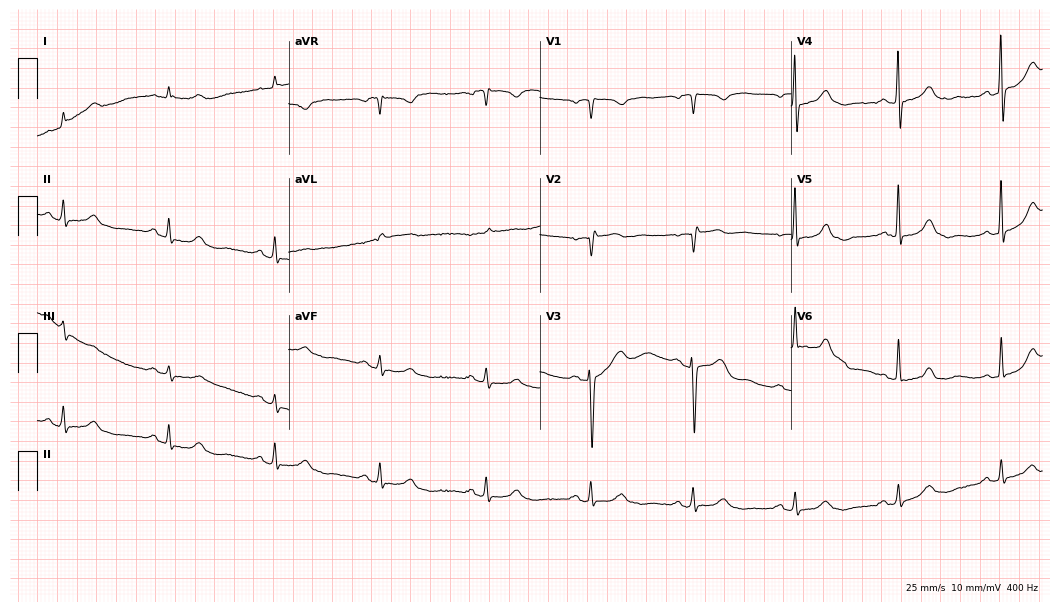
Standard 12-lead ECG recorded from a man, 79 years old (10.2-second recording at 400 Hz). Read as a normal ECG.